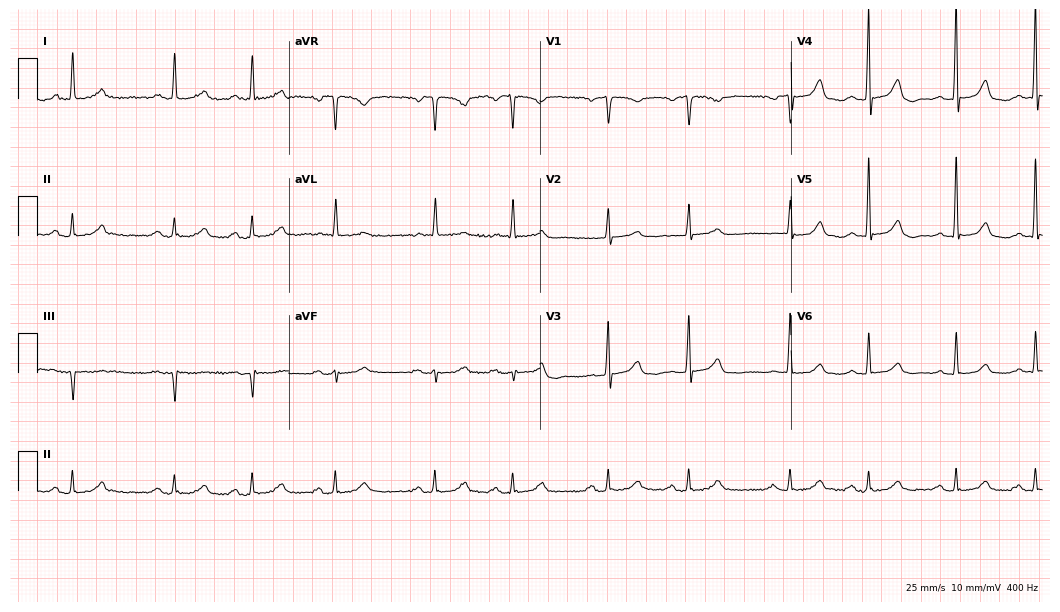
12-lead ECG from an 83-year-old female (10.2-second recording at 400 Hz). Recorded interpretation: within normal limits.